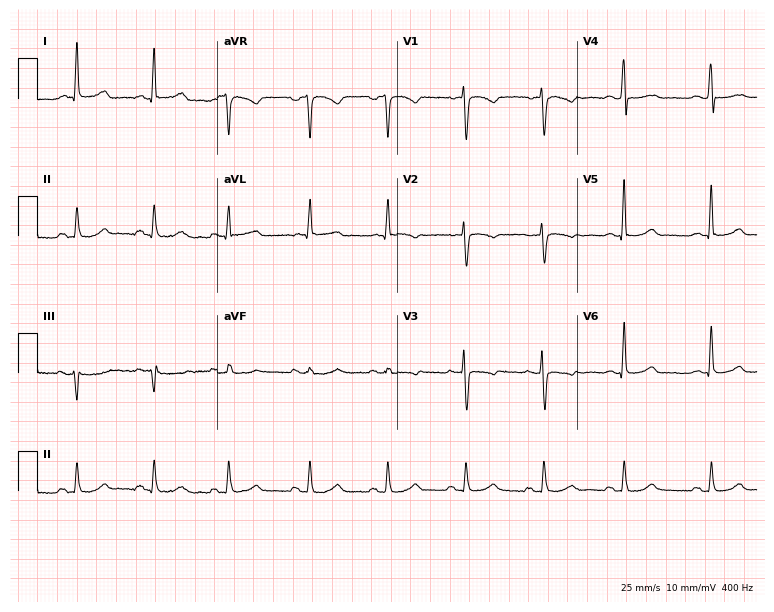
Electrocardiogram (7.3-second recording at 400 Hz), a female, 44 years old. Of the six screened findings (first-degree AV block, right bundle branch block, left bundle branch block, sinus bradycardia, atrial fibrillation, sinus tachycardia), none is recorded. Only these six findings were labelled.